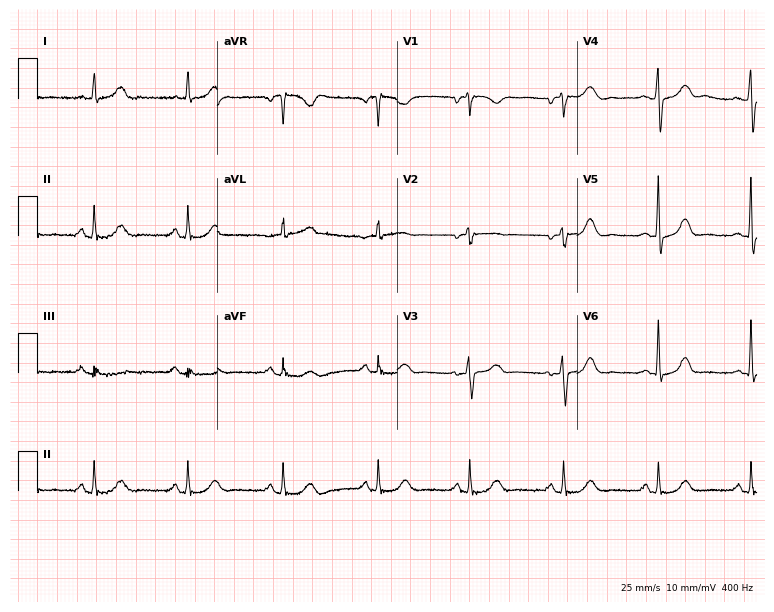
ECG — a female patient, 57 years old. Screened for six findings — first-degree AV block, right bundle branch block, left bundle branch block, sinus bradycardia, atrial fibrillation, sinus tachycardia — none is recorded. Only these six findings were labelled.